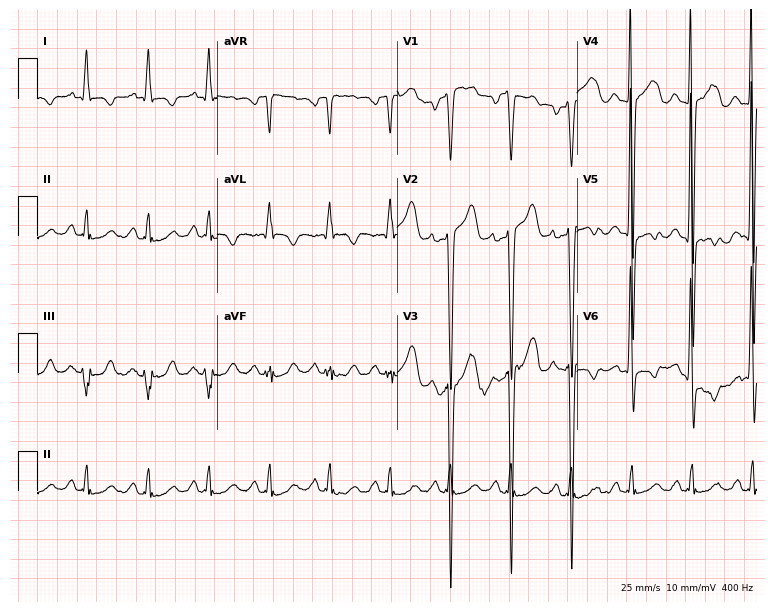
ECG (7.3-second recording at 400 Hz) — a man, 54 years old. Screened for six findings — first-degree AV block, right bundle branch block, left bundle branch block, sinus bradycardia, atrial fibrillation, sinus tachycardia — none is recorded.